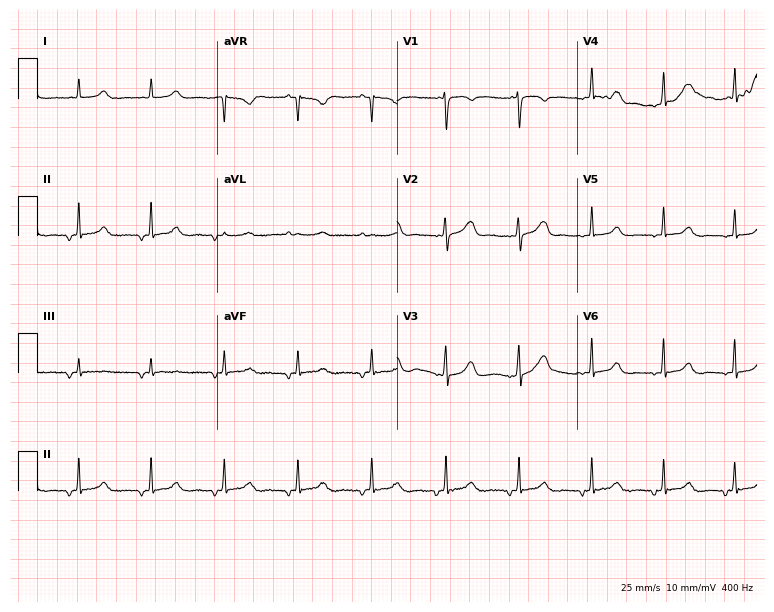
12-lead ECG from a 23-year-old woman. No first-degree AV block, right bundle branch block, left bundle branch block, sinus bradycardia, atrial fibrillation or sinus tachycardia recorded for this tracing. Findings outside these six are not listed.